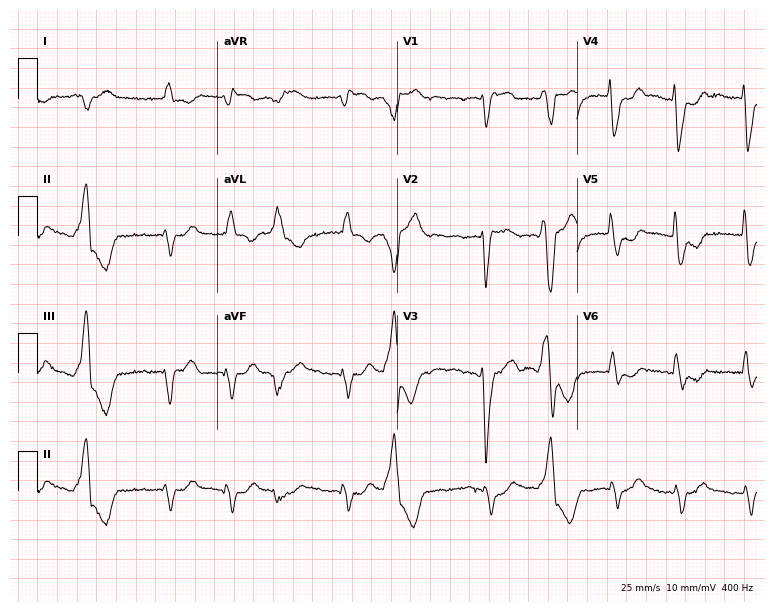
ECG — a 77-year-old male. Screened for six findings — first-degree AV block, right bundle branch block, left bundle branch block, sinus bradycardia, atrial fibrillation, sinus tachycardia — none is recorded. Findings outside these six are not listed.